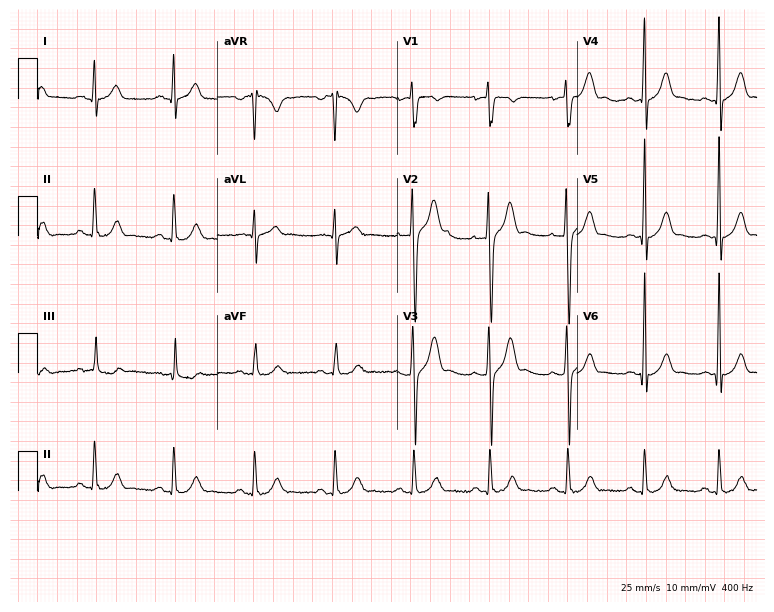
Electrocardiogram (7.3-second recording at 400 Hz), a man, 25 years old. Overall reading on record: normal ECG.